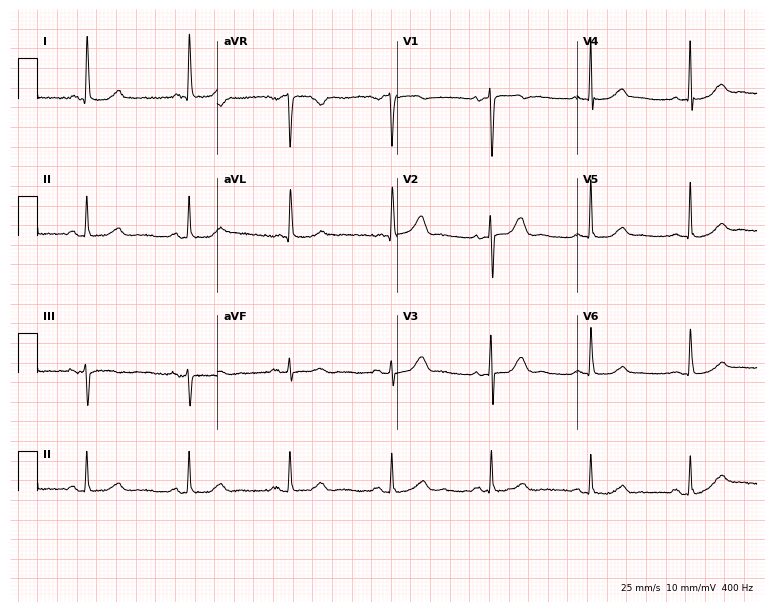
Standard 12-lead ECG recorded from a 70-year-old woman (7.3-second recording at 400 Hz). Read as a normal ECG.